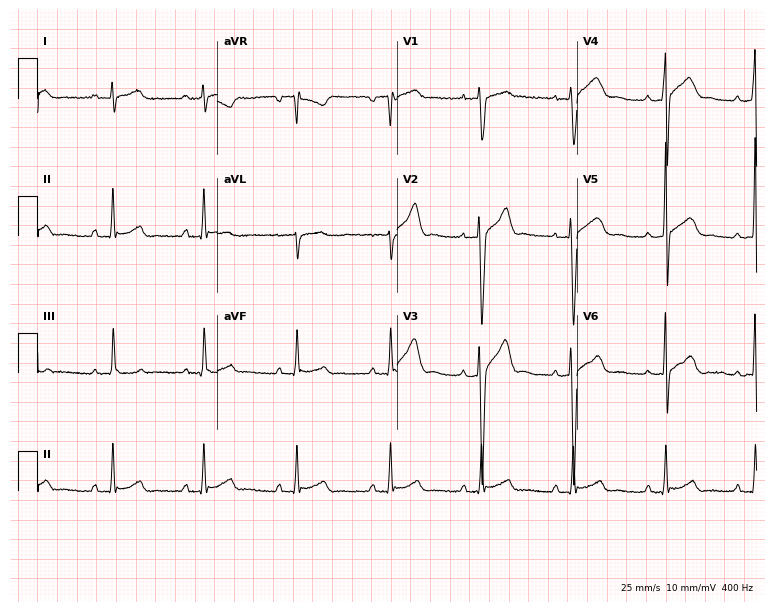
12-lead ECG (7.3-second recording at 400 Hz) from a male patient, 23 years old. Screened for six findings — first-degree AV block, right bundle branch block, left bundle branch block, sinus bradycardia, atrial fibrillation, sinus tachycardia — none is recorded. Other findings, if any, are not listed.